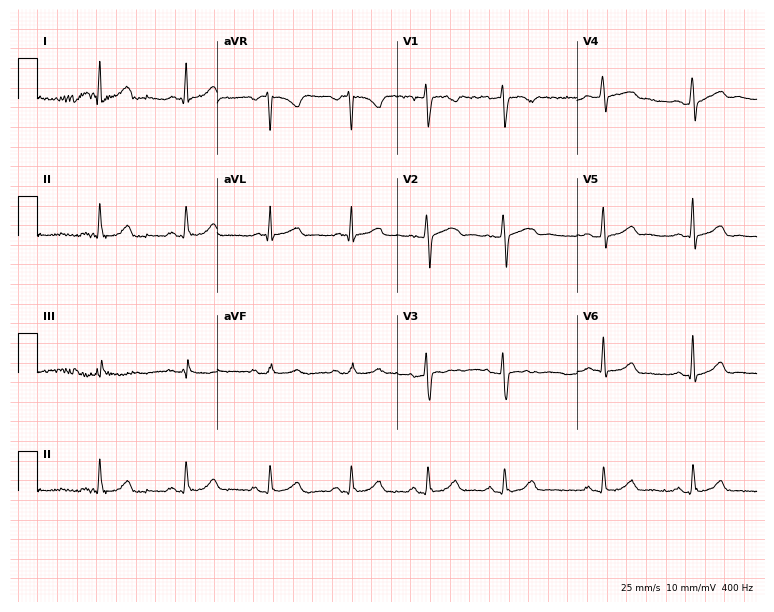
Standard 12-lead ECG recorded from a 37-year-old female patient. None of these six findings is recorded: first-degree AV block, right bundle branch block (RBBB), left bundle branch block (LBBB), sinus bradycardia, atrial fibrillation (AF), sinus tachycardia.